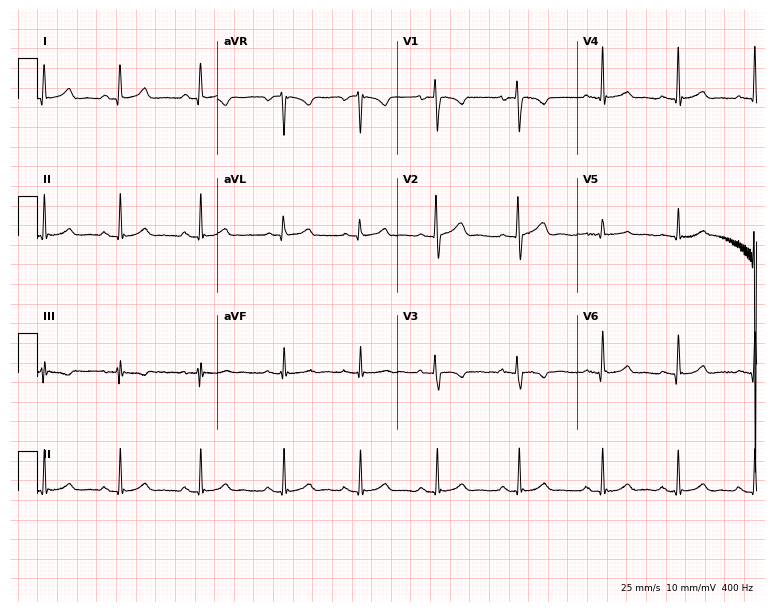
Standard 12-lead ECG recorded from a 17-year-old female patient. Read as a normal ECG.